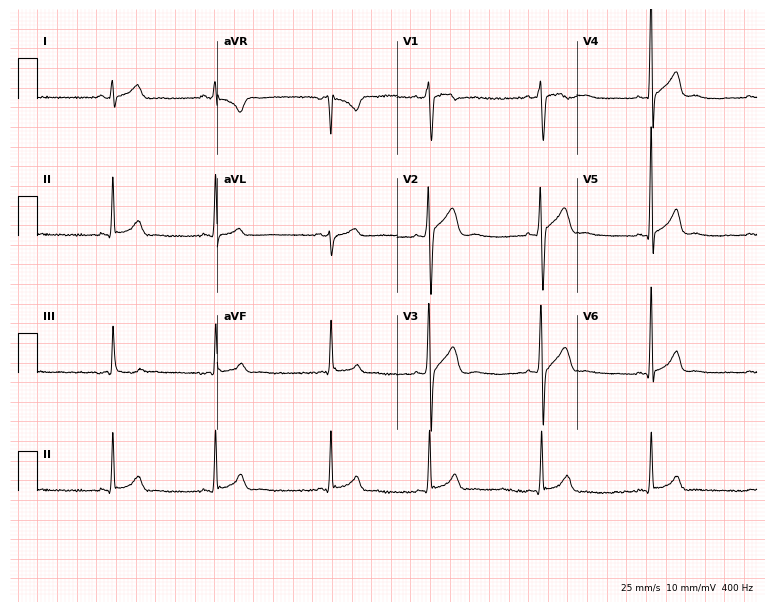
Resting 12-lead electrocardiogram. Patient: a 17-year-old male. None of these six findings is recorded: first-degree AV block, right bundle branch block, left bundle branch block, sinus bradycardia, atrial fibrillation, sinus tachycardia.